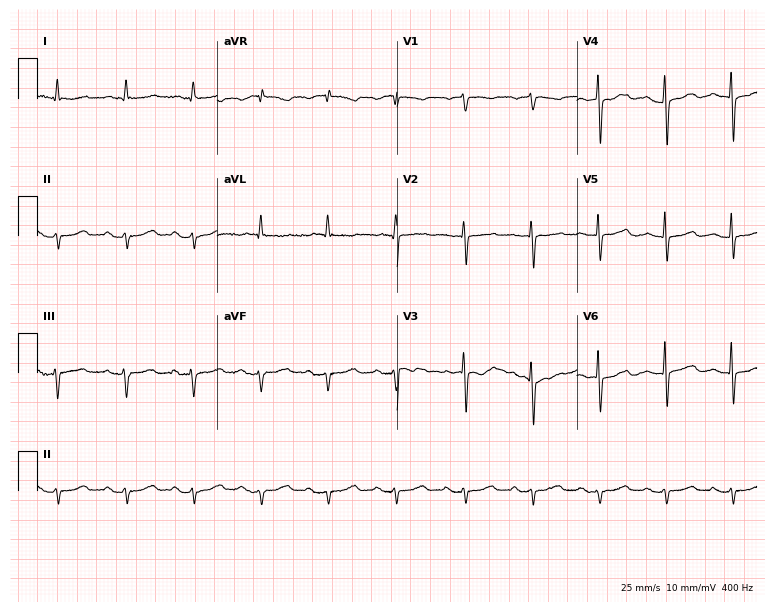
12-lead ECG from a female patient, 81 years old. No first-degree AV block, right bundle branch block, left bundle branch block, sinus bradycardia, atrial fibrillation or sinus tachycardia recorded for this tracing. Other findings, if any, are not listed.